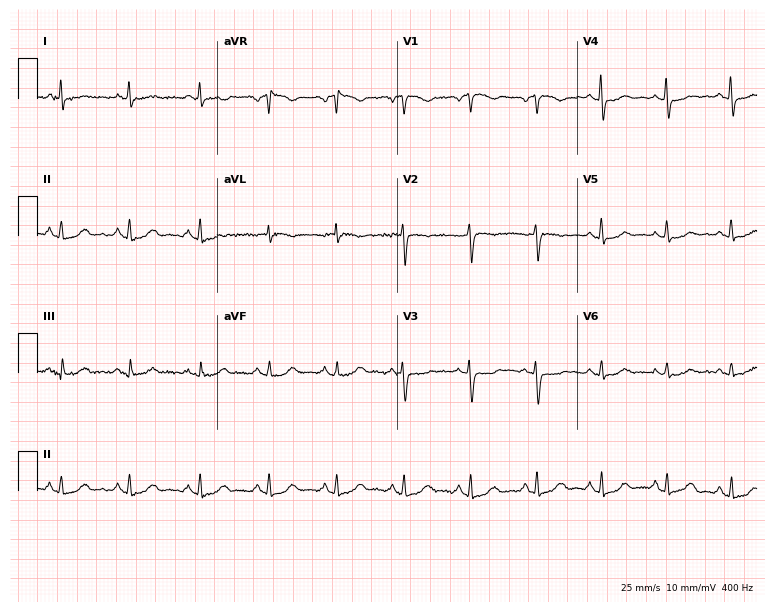
12-lead ECG from a 67-year-old woman. Labelled as a normal ECG.